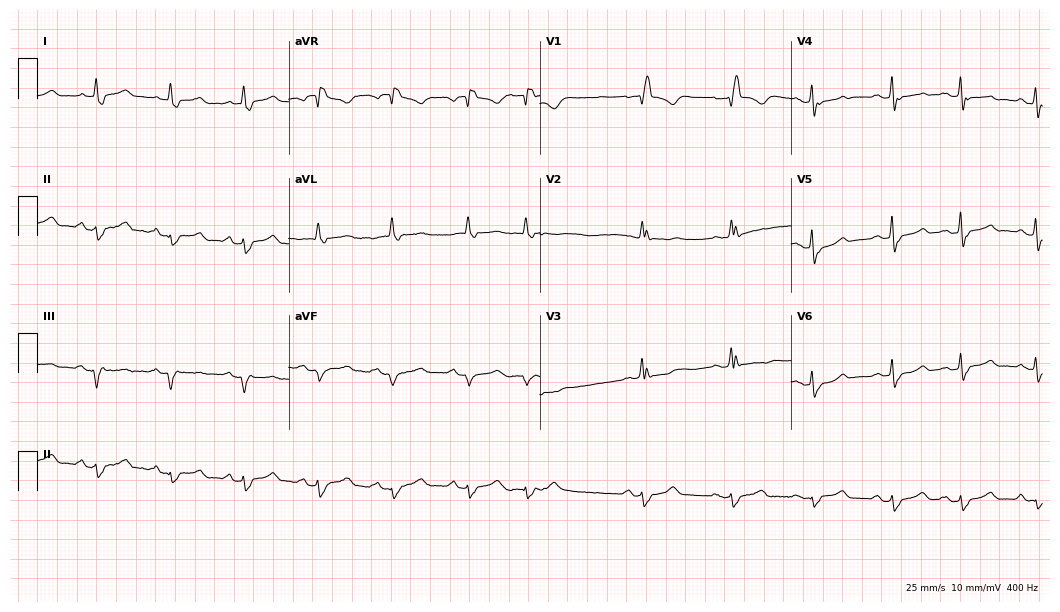
Electrocardiogram, a woman, 85 years old. Interpretation includes right bundle branch block.